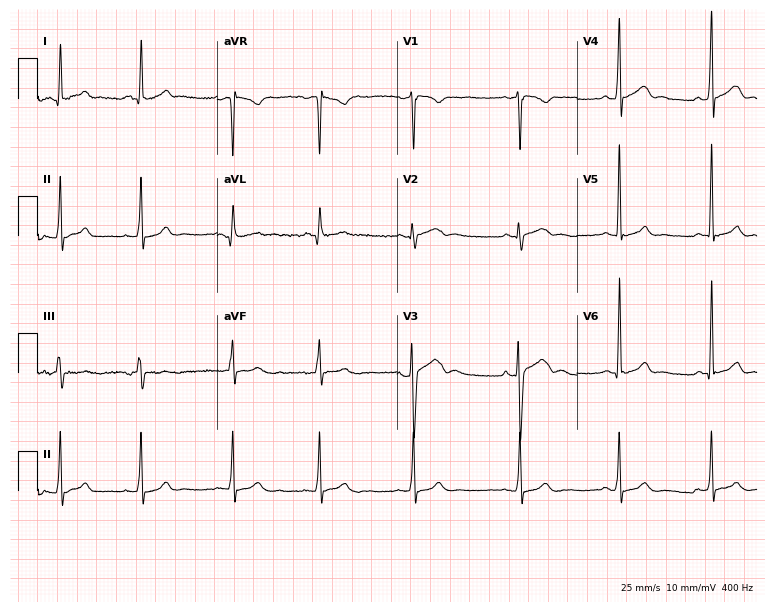
Resting 12-lead electrocardiogram. Patient: a 26-year-old male. Read as a normal ECG.